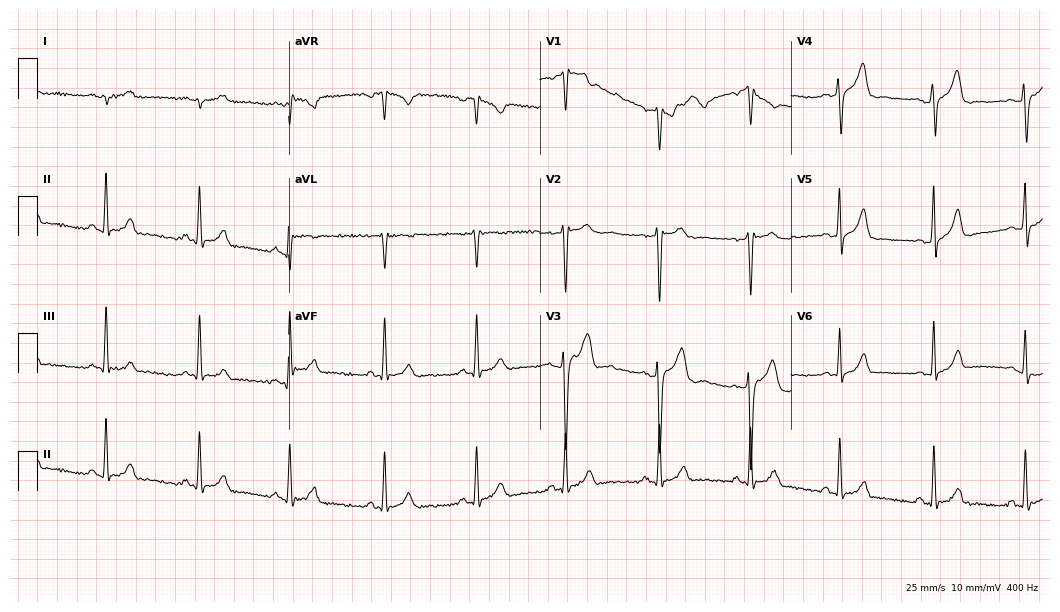
Electrocardiogram (10.2-second recording at 400 Hz), a 30-year-old male. Of the six screened findings (first-degree AV block, right bundle branch block (RBBB), left bundle branch block (LBBB), sinus bradycardia, atrial fibrillation (AF), sinus tachycardia), none is recorded.